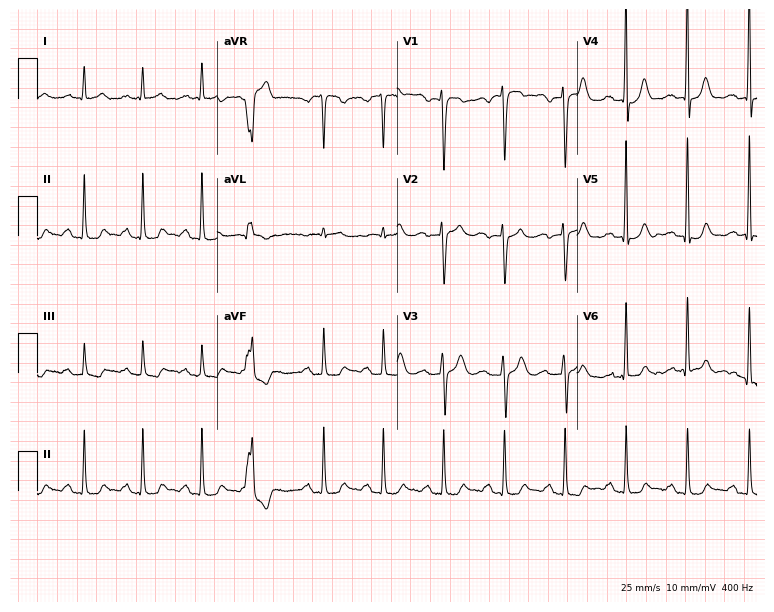
12-lead ECG (7.3-second recording at 400 Hz) from a 61-year-old man. Screened for six findings — first-degree AV block, right bundle branch block, left bundle branch block, sinus bradycardia, atrial fibrillation, sinus tachycardia — none is recorded.